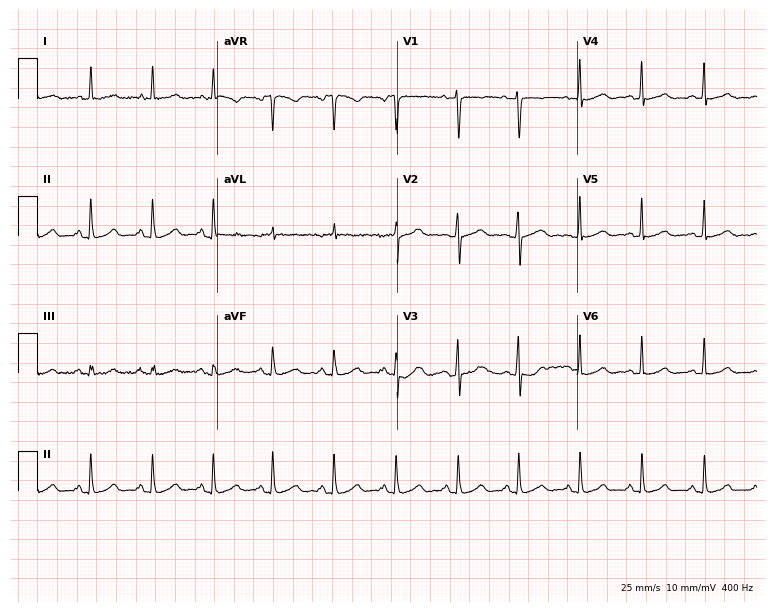
12-lead ECG from a 26-year-old female patient. Recorded interpretation: within normal limits.